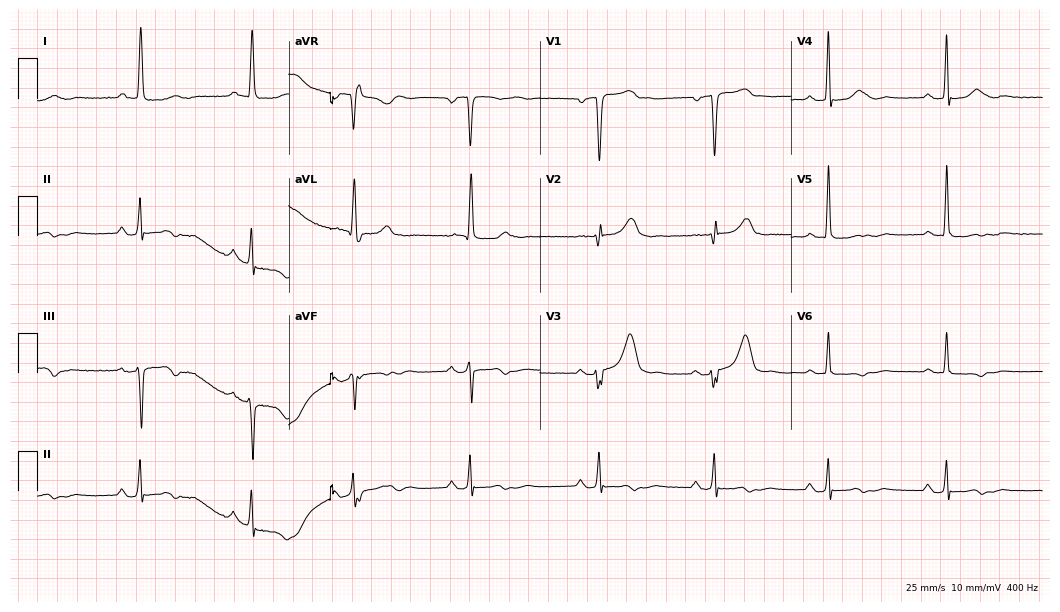
12-lead ECG from a 75-year-old female patient (10.2-second recording at 400 Hz). No first-degree AV block, right bundle branch block (RBBB), left bundle branch block (LBBB), sinus bradycardia, atrial fibrillation (AF) or sinus tachycardia recorded for this tracing.